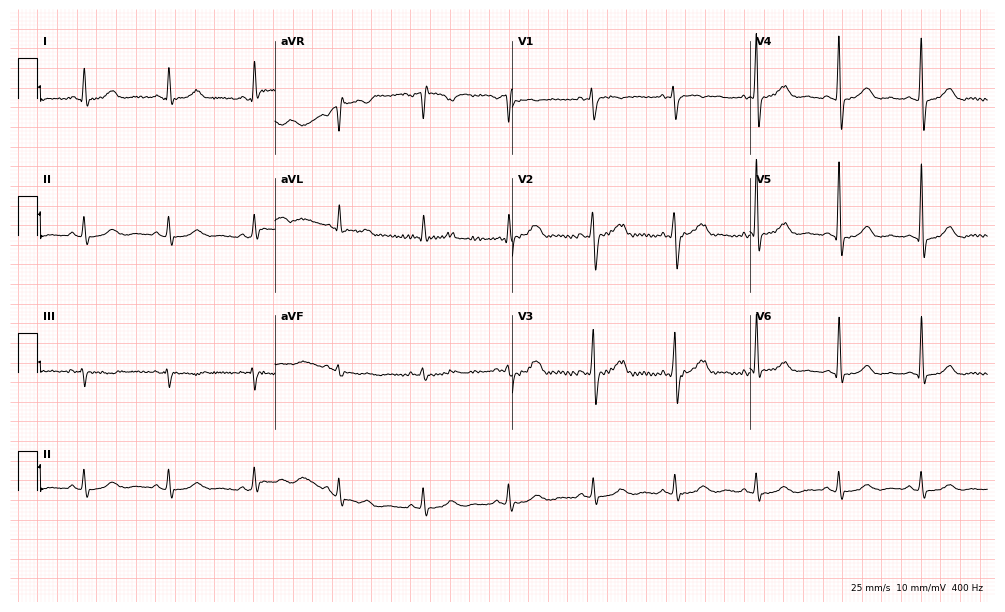
Resting 12-lead electrocardiogram (9.7-second recording at 400 Hz). Patient: a female, 64 years old. Read as a normal ECG.